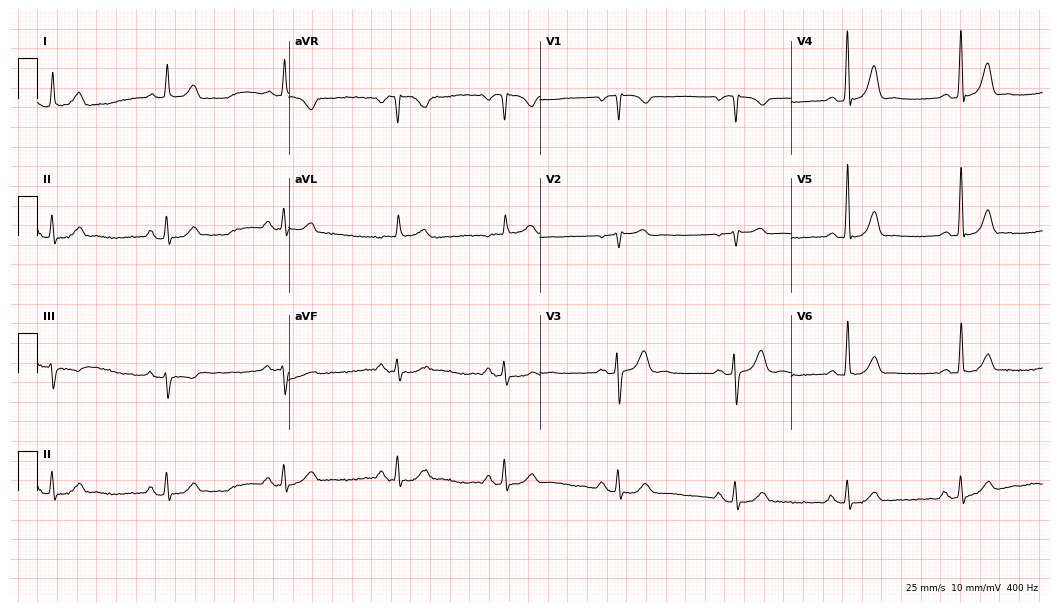
12-lead ECG (10.2-second recording at 400 Hz) from a 73-year-old man. Labelled as a normal ECG.